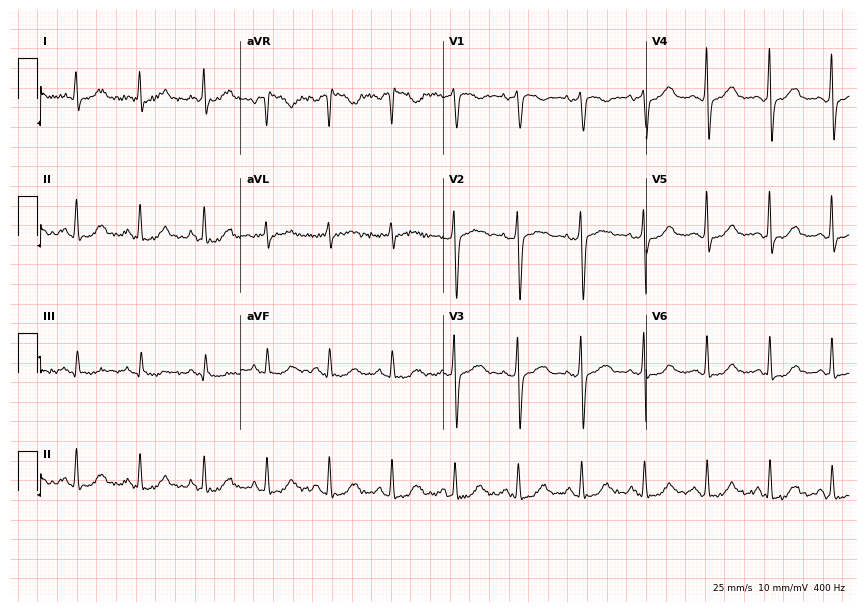
12-lead ECG from a female patient, 58 years old (8.3-second recording at 400 Hz). Recorded interpretation: within normal limits.